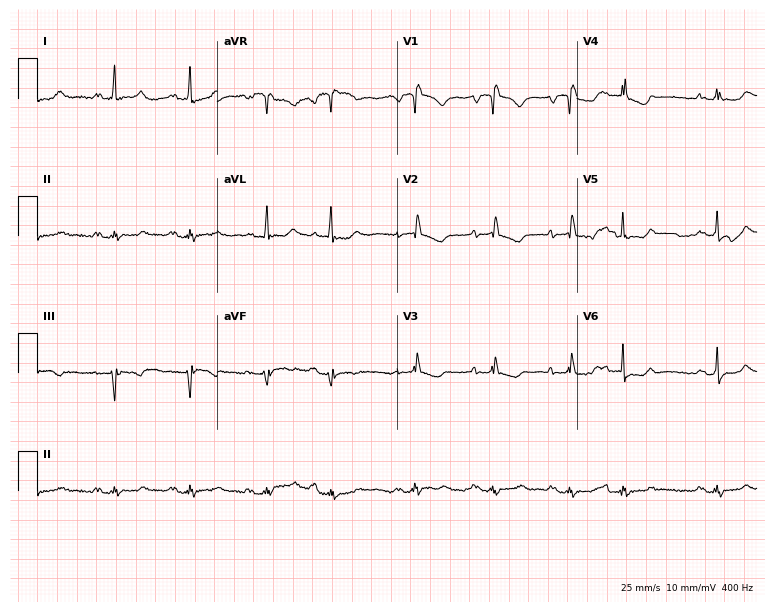
12-lead ECG from a 63-year-old female patient (7.3-second recording at 400 Hz). No first-degree AV block, right bundle branch block (RBBB), left bundle branch block (LBBB), sinus bradycardia, atrial fibrillation (AF) or sinus tachycardia recorded for this tracing. Only these six findings were labelled.